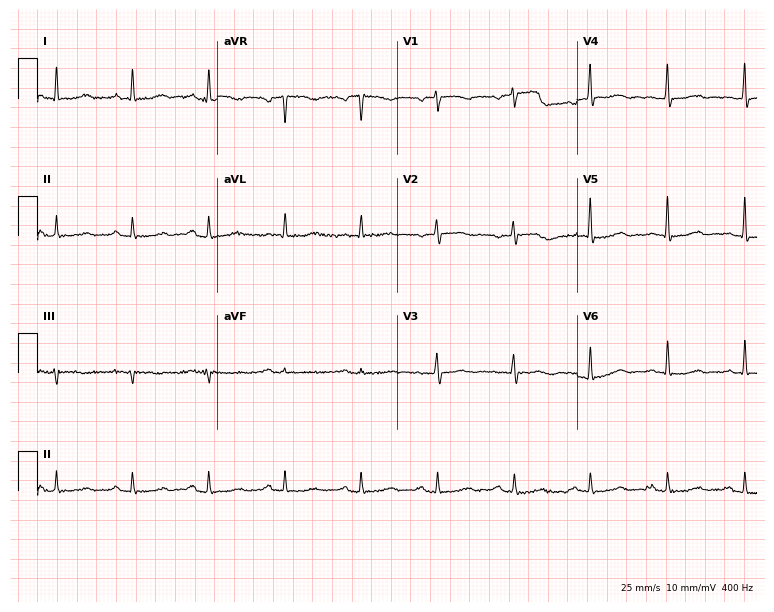
Resting 12-lead electrocardiogram. Patient: a female, 68 years old. None of these six findings is recorded: first-degree AV block, right bundle branch block, left bundle branch block, sinus bradycardia, atrial fibrillation, sinus tachycardia.